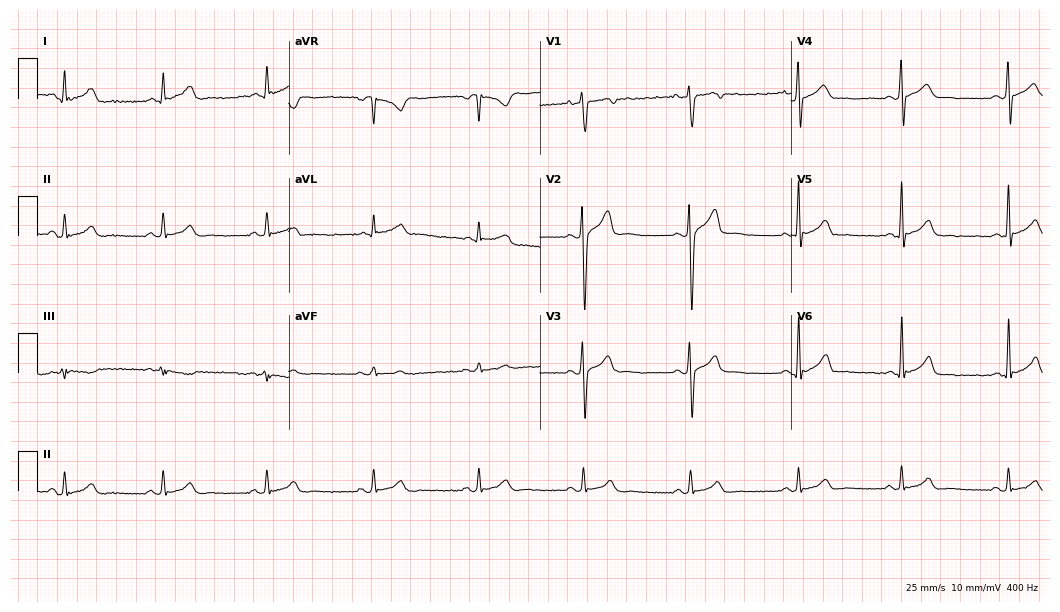
12-lead ECG (10.2-second recording at 400 Hz) from a male patient, 24 years old. Screened for six findings — first-degree AV block, right bundle branch block, left bundle branch block, sinus bradycardia, atrial fibrillation, sinus tachycardia — none is recorded.